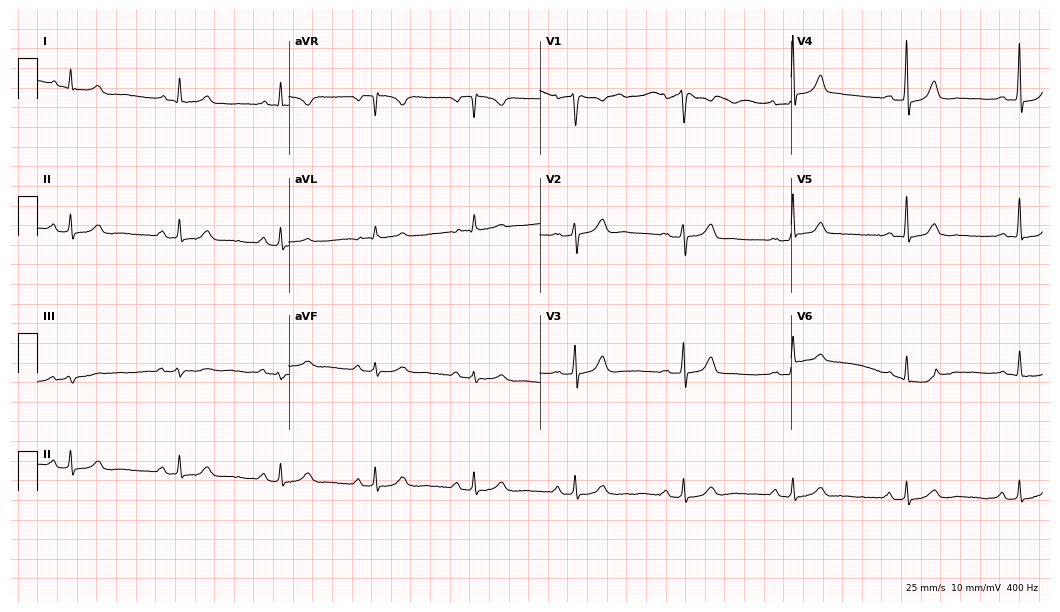
Standard 12-lead ECG recorded from a woman, 42 years old. Read as a normal ECG.